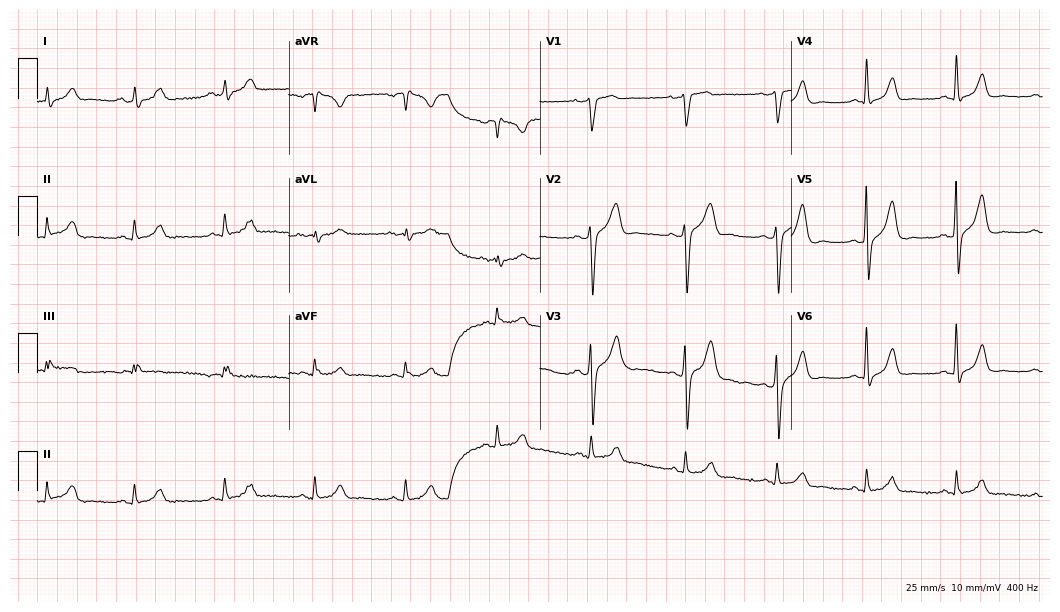
Electrocardiogram (10.2-second recording at 400 Hz), a male patient, 51 years old. Of the six screened findings (first-degree AV block, right bundle branch block (RBBB), left bundle branch block (LBBB), sinus bradycardia, atrial fibrillation (AF), sinus tachycardia), none is recorded.